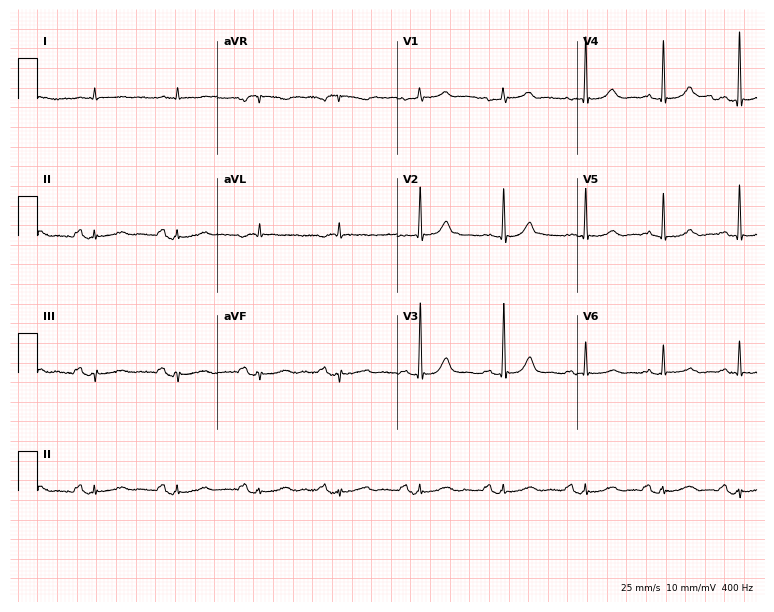
Resting 12-lead electrocardiogram. Patient: a 70-year-old man. None of these six findings is recorded: first-degree AV block, right bundle branch block, left bundle branch block, sinus bradycardia, atrial fibrillation, sinus tachycardia.